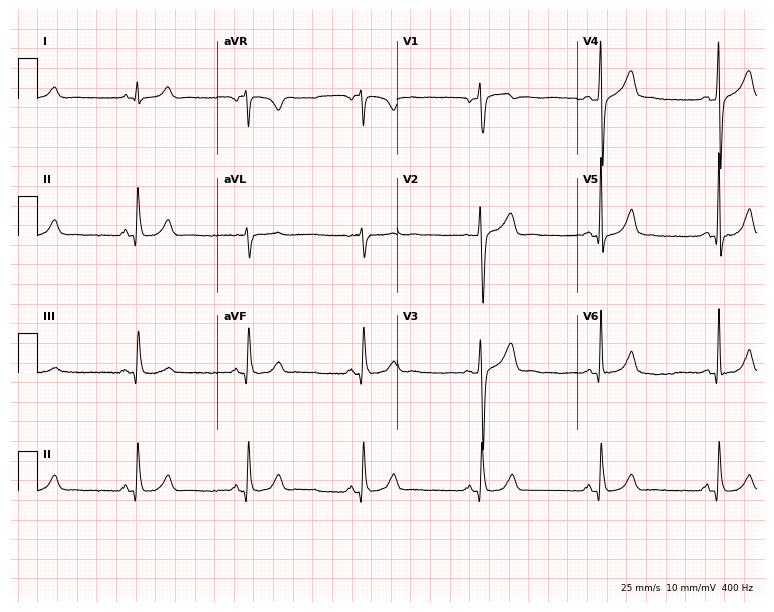
Standard 12-lead ECG recorded from a male, 42 years old (7.3-second recording at 400 Hz). None of these six findings is recorded: first-degree AV block, right bundle branch block, left bundle branch block, sinus bradycardia, atrial fibrillation, sinus tachycardia. Other findings, if any, are not listed.